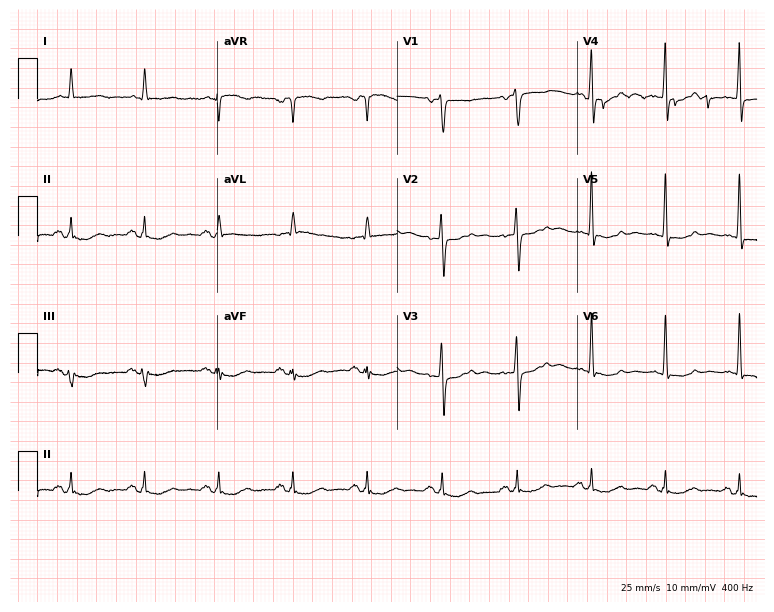
12-lead ECG from a 66-year-old male patient. No first-degree AV block, right bundle branch block, left bundle branch block, sinus bradycardia, atrial fibrillation or sinus tachycardia recorded for this tracing. Findings outside these six are not listed.